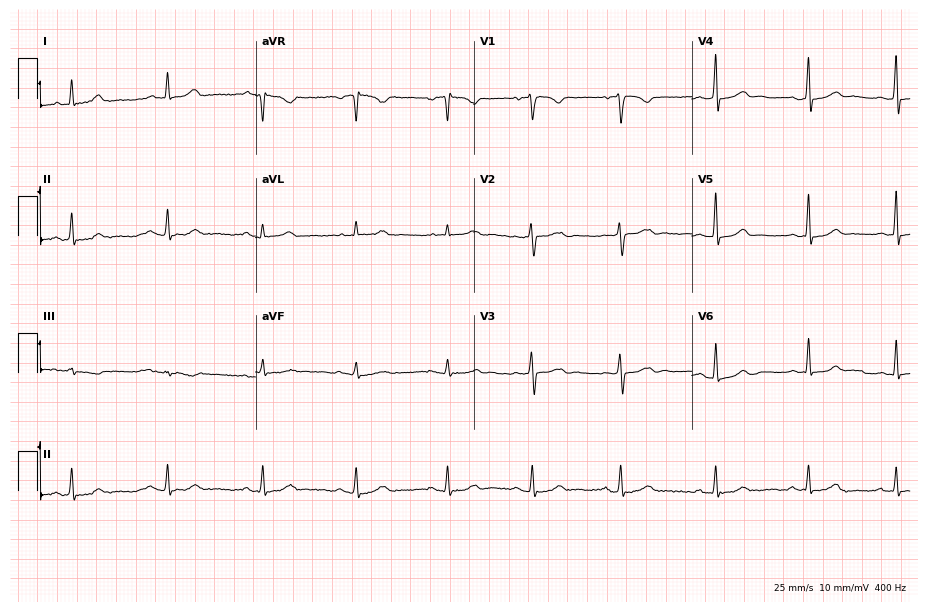
Standard 12-lead ECG recorded from a 39-year-old female. Read as a normal ECG.